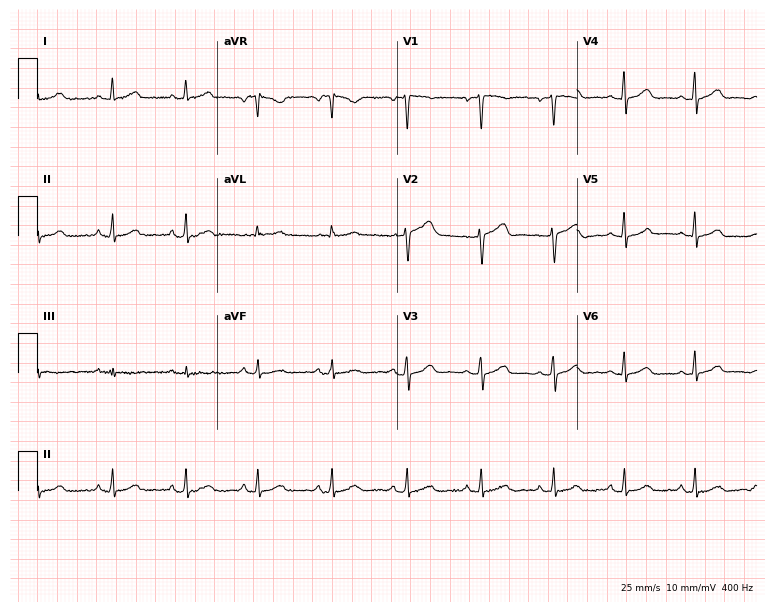
Resting 12-lead electrocardiogram. Patient: a 44-year-old woman. Read as a normal ECG.